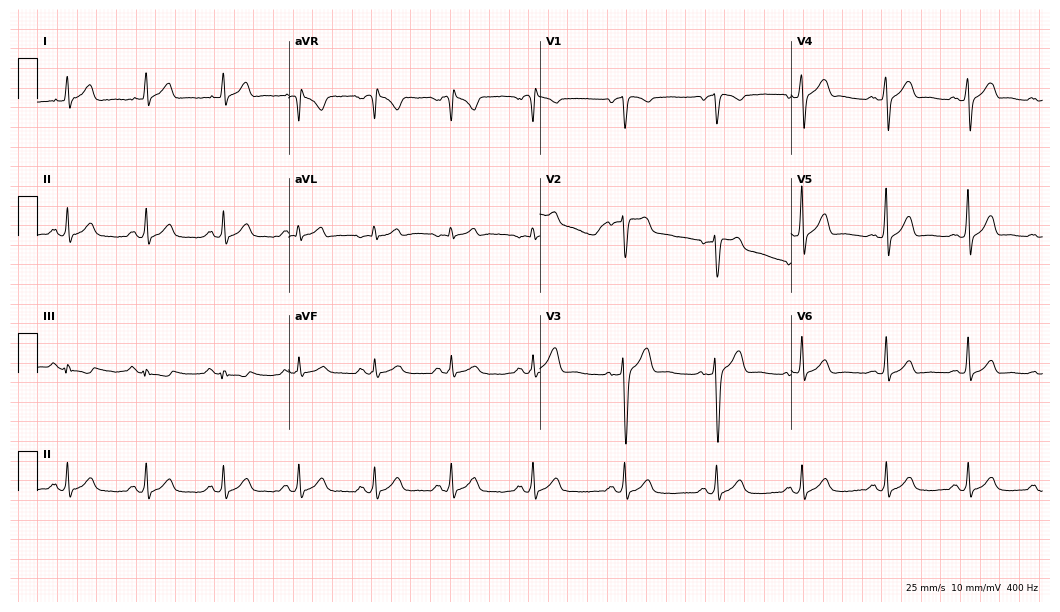
12-lead ECG from a man, 47 years old (10.2-second recording at 400 Hz). Recorded interpretation: within normal limits.